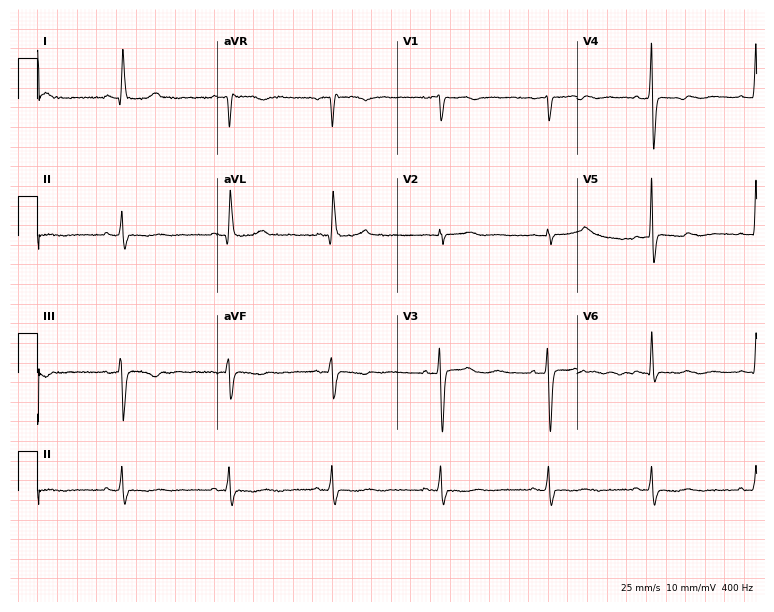
12-lead ECG from a female patient, 64 years old. Screened for six findings — first-degree AV block, right bundle branch block (RBBB), left bundle branch block (LBBB), sinus bradycardia, atrial fibrillation (AF), sinus tachycardia — none is recorded. Only these six findings were labelled.